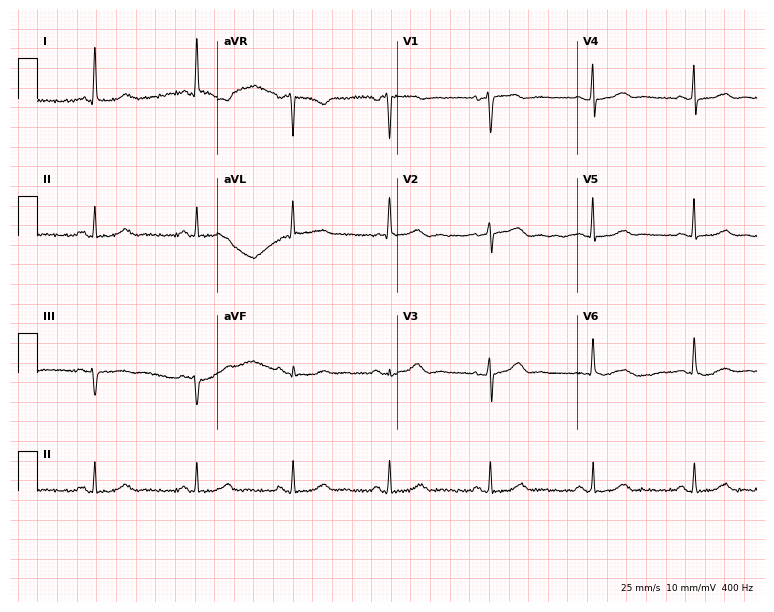
12-lead ECG from a woman, 55 years old. No first-degree AV block, right bundle branch block (RBBB), left bundle branch block (LBBB), sinus bradycardia, atrial fibrillation (AF) or sinus tachycardia recorded for this tracing.